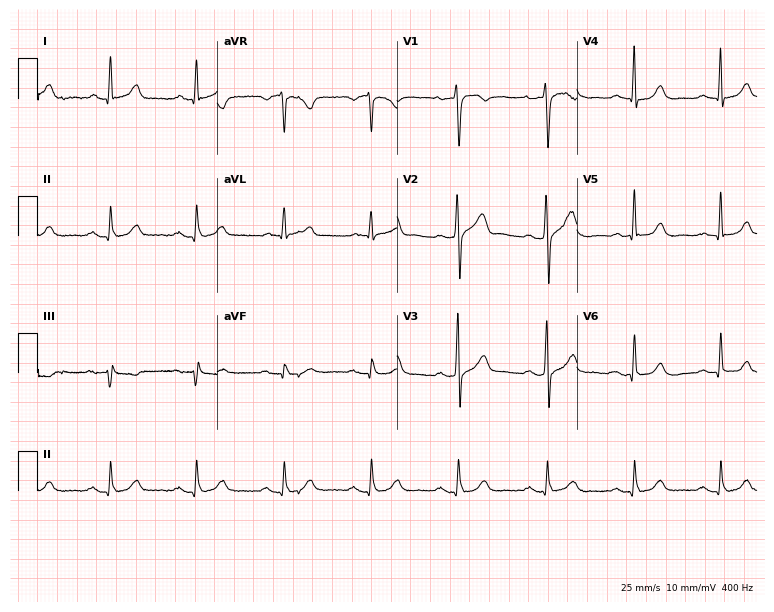
12-lead ECG from a male patient, 53 years old (7.3-second recording at 400 Hz). Recorded interpretation: within normal limits.